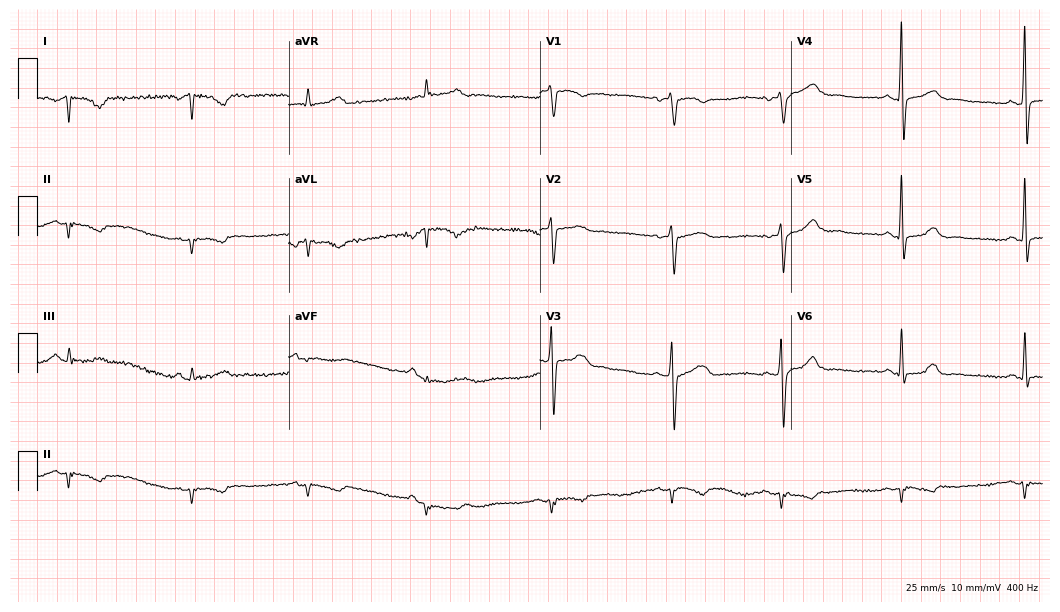
Electrocardiogram, a man, 62 years old. Of the six screened findings (first-degree AV block, right bundle branch block, left bundle branch block, sinus bradycardia, atrial fibrillation, sinus tachycardia), none is recorded.